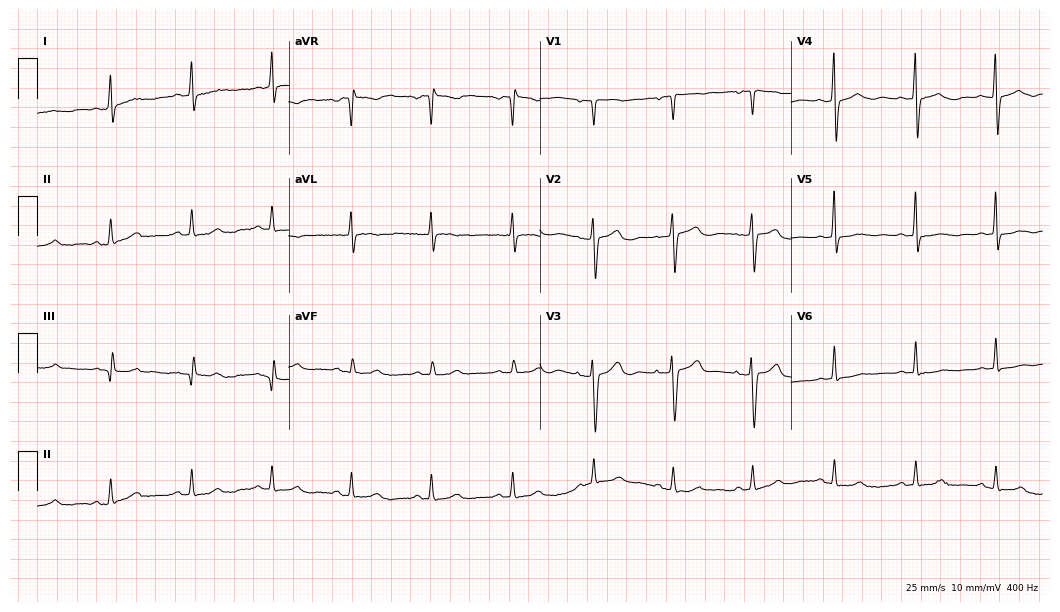
Standard 12-lead ECG recorded from a female, 66 years old (10.2-second recording at 400 Hz). None of these six findings is recorded: first-degree AV block, right bundle branch block, left bundle branch block, sinus bradycardia, atrial fibrillation, sinus tachycardia.